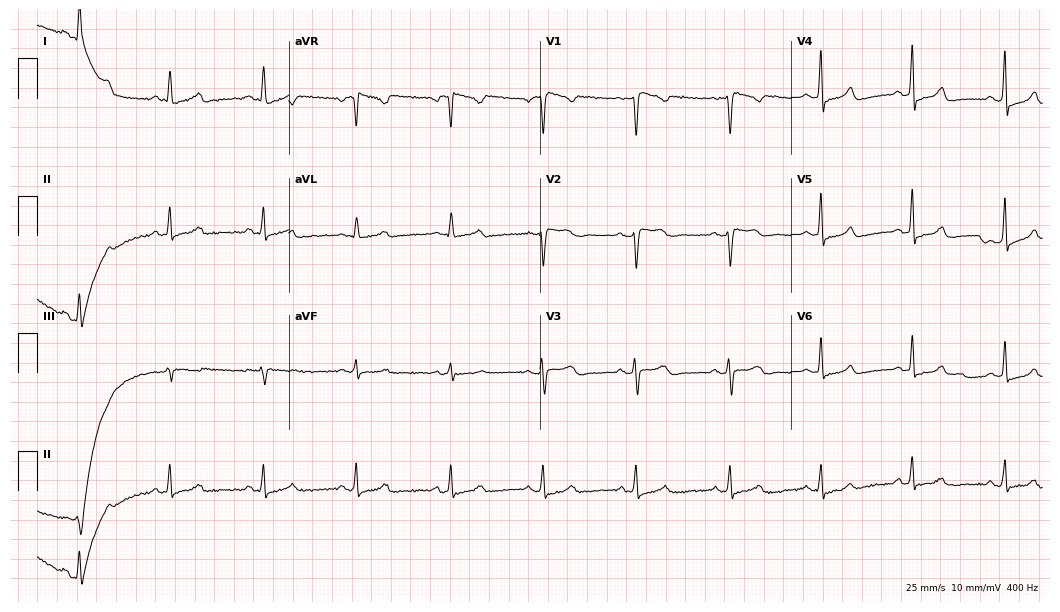
ECG — a female patient, 28 years old. Screened for six findings — first-degree AV block, right bundle branch block, left bundle branch block, sinus bradycardia, atrial fibrillation, sinus tachycardia — none is recorded.